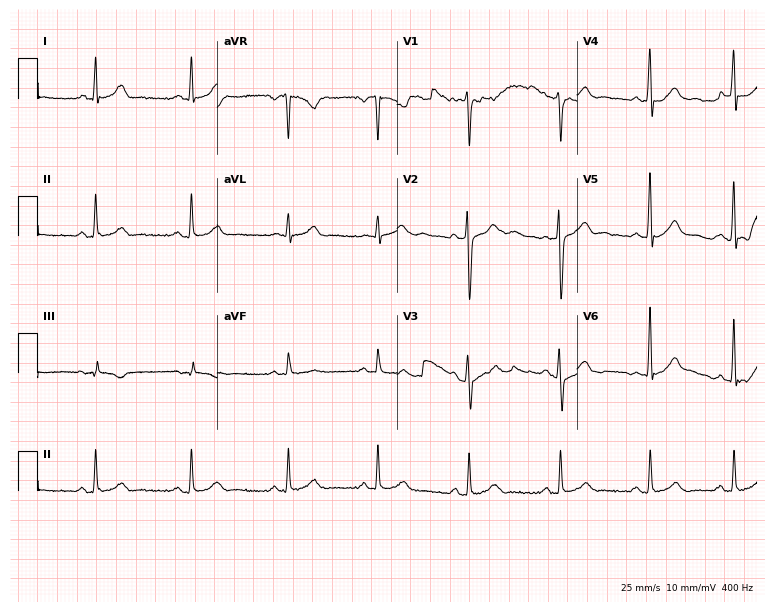
ECG — a 30-year-old male patient. Labelled as a normal ECG.